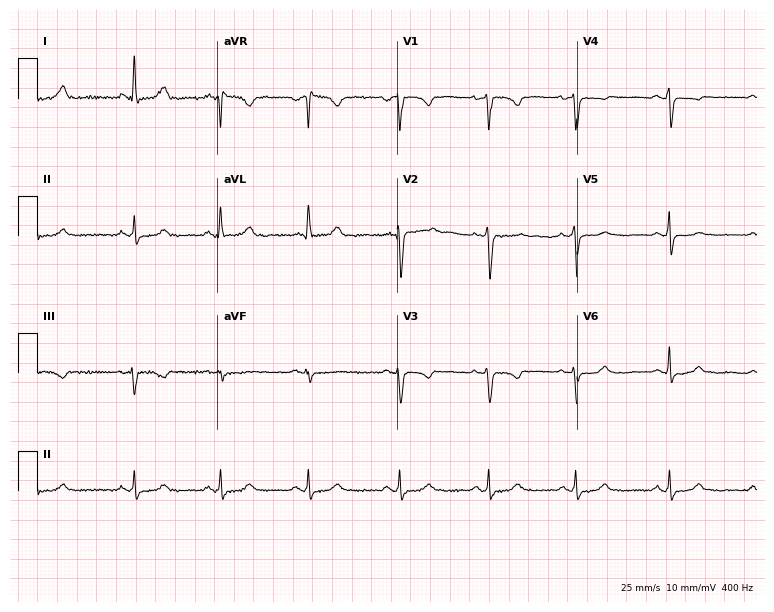
ECG (7.3-second recording at 400 Hz) — a 44-year-old woman. Screened for six findings — first-degree AV block, right bundle branch block, left bundle branch block, sinus bradycardia, atrial fibrillation, sinus tachycardia — none is recorded. Findings outside these six are not listed.